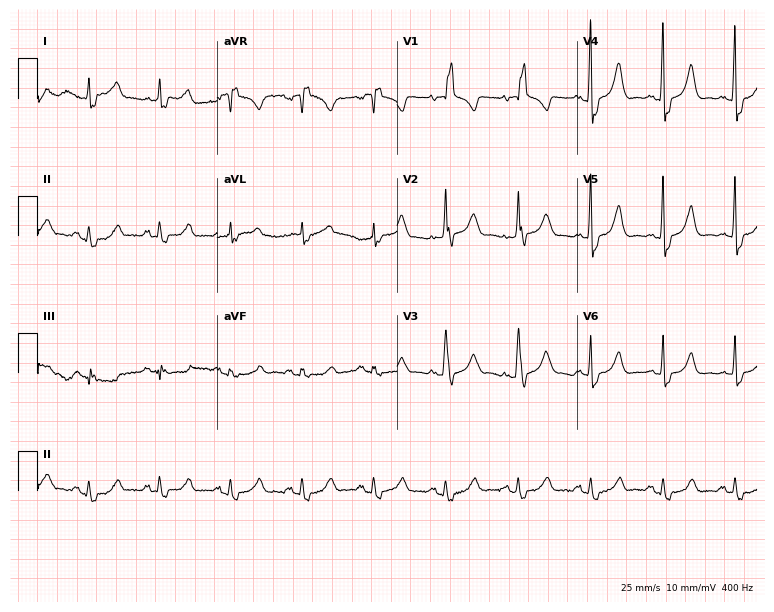
Resting 12-lead electrocardiogram. Patient: a male, 82 years old. The tracing shows right bundle branch block.